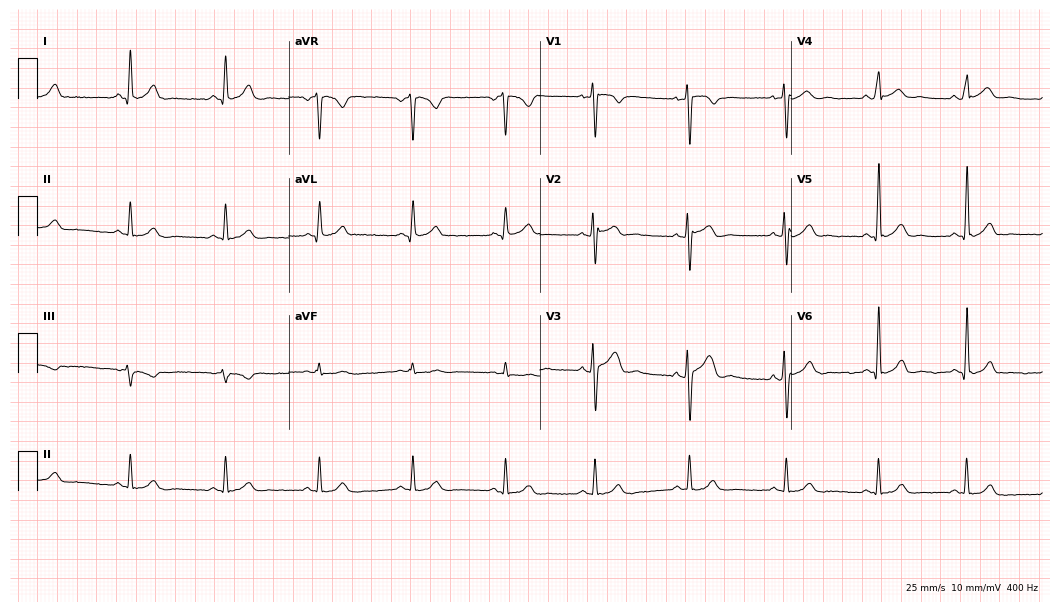
Resting 12-lead electrocardiogram. Patient: a 22-year-old male. Read as a normal ECG.